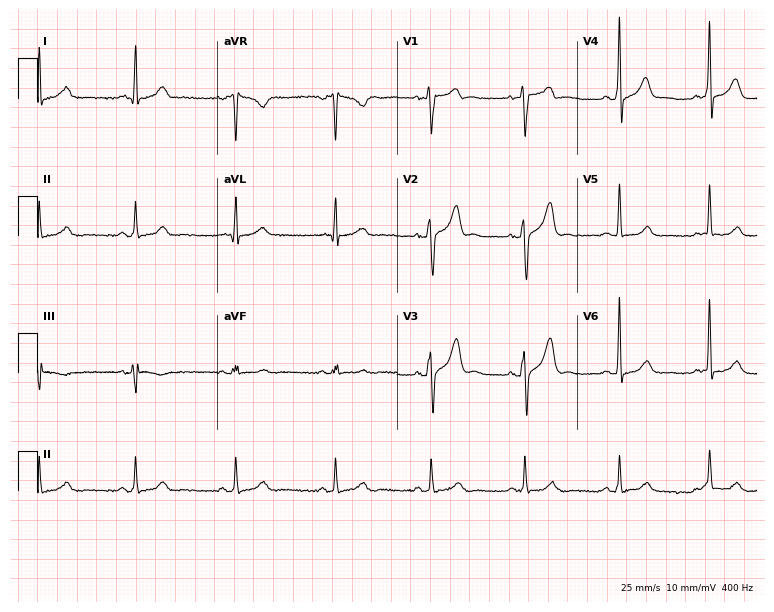
12-lead ECG from a male patient, 47 years old. Labelled as a normal ECG.